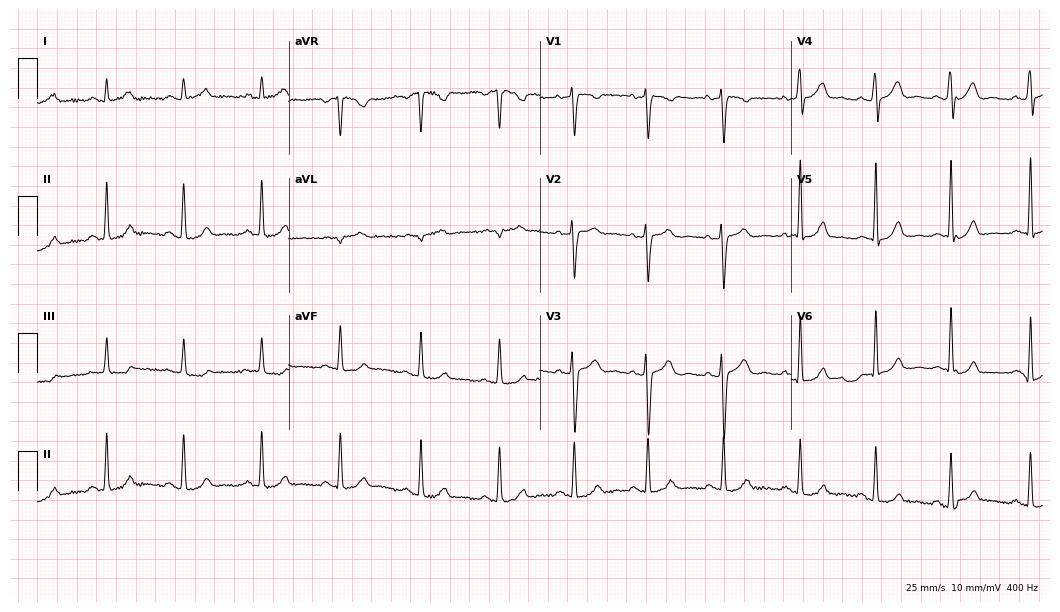
12-lead ECG from a female, 36 years old. Labelled as a normal ECG.